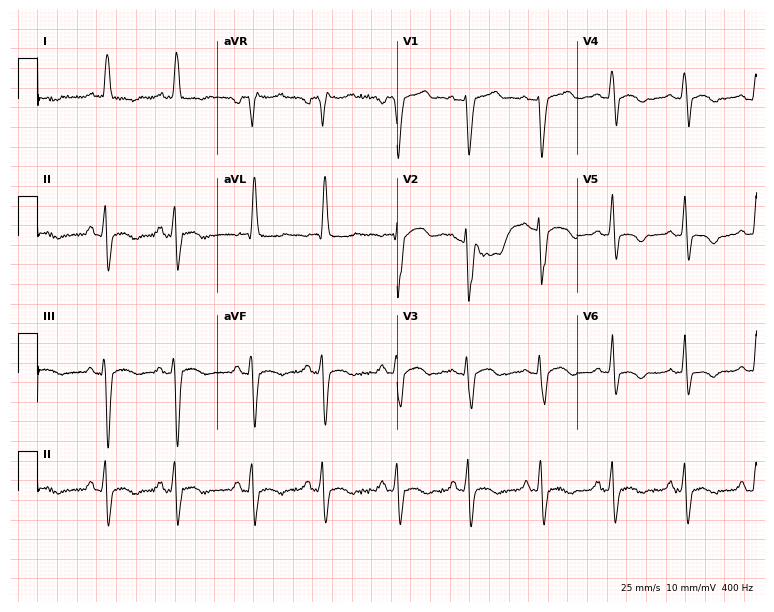
ECG (7.3-second recording at 400 Hz) — a 64-year-old man. Screened for six findings — first-degree AV block, right bundle branch block, left bundle branch block, sinus bradycardia, atrial fibrillation, sinus tachycardia — none is recorded. Only these six findings were labelled.